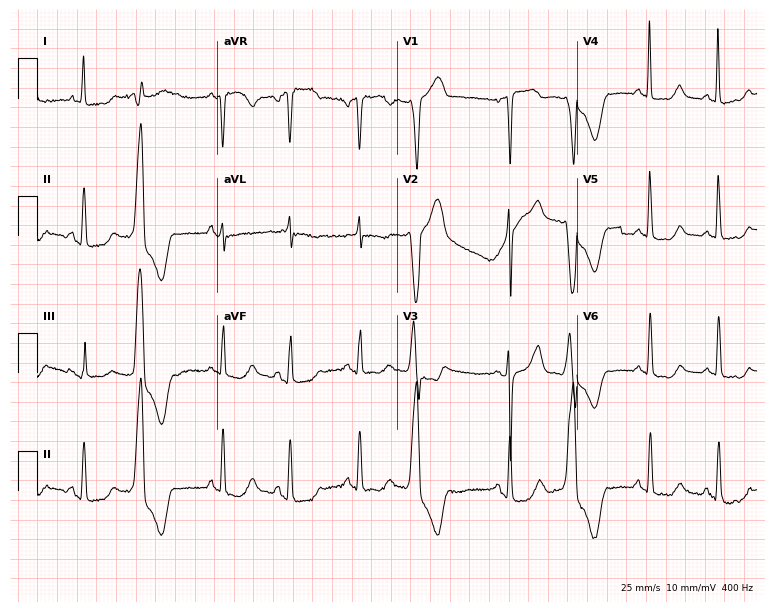
ECG (7.3-second recording at 400 Hz) — a woman, 83 years old. Screened for six findings — first-degree AV block, right bundle branch block (RBBB), left bundle branch block (LBBB), sinus bradycardia, atrial fibrillation (AF), sinus tachycardia — none is recorded. Findings outside these six are not listed.